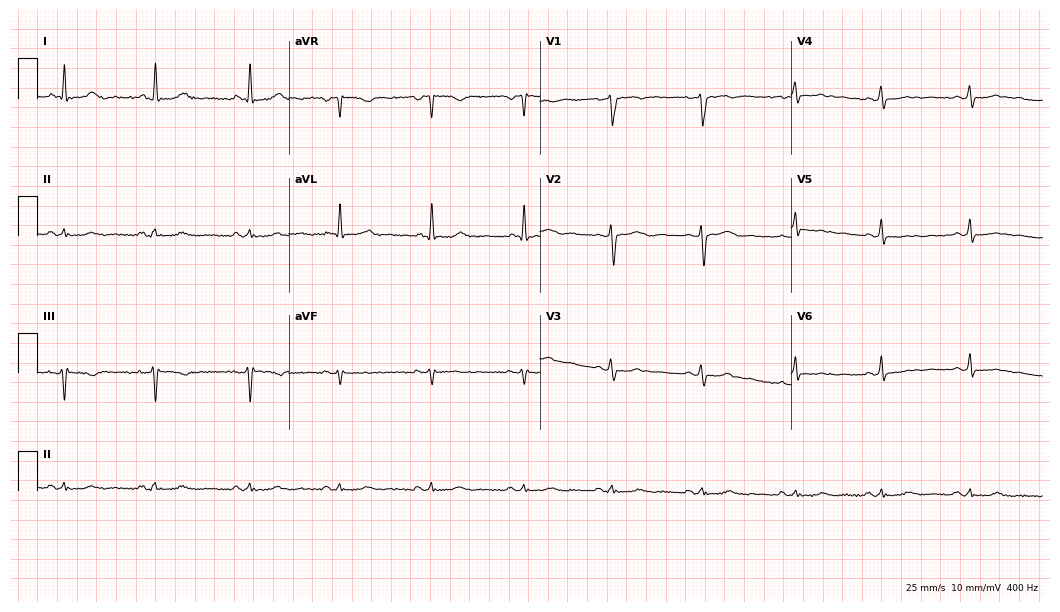
Standard 12-lead ECG recorded from a 37-year-old woman (10.2-second recording at 400 Hz). None of these six findings is recorded: first-degree AV block, right bundle branch block, left bundle branch block, sinus bradycardia, atrial fibrillation, sinus tachycardia. Other findings, if any, are not listed.